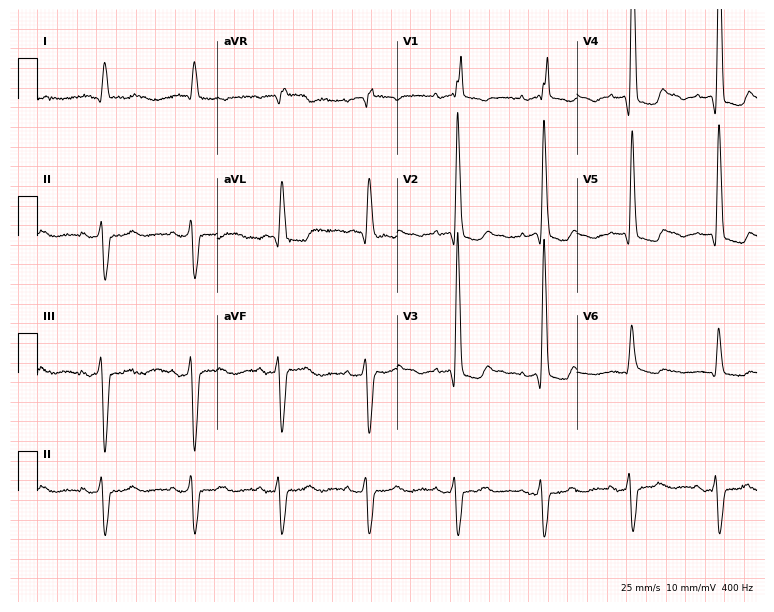
Resting 12-lead electrocardiogram. Patient: a man, 83 years old. None of these six findings is recorded: first-degree AV block, right bundle branch block (RBBB), left bundle branch block (LBBB), sinus bradycardia, atrial fibrillation (AF), sinus tachycardia.